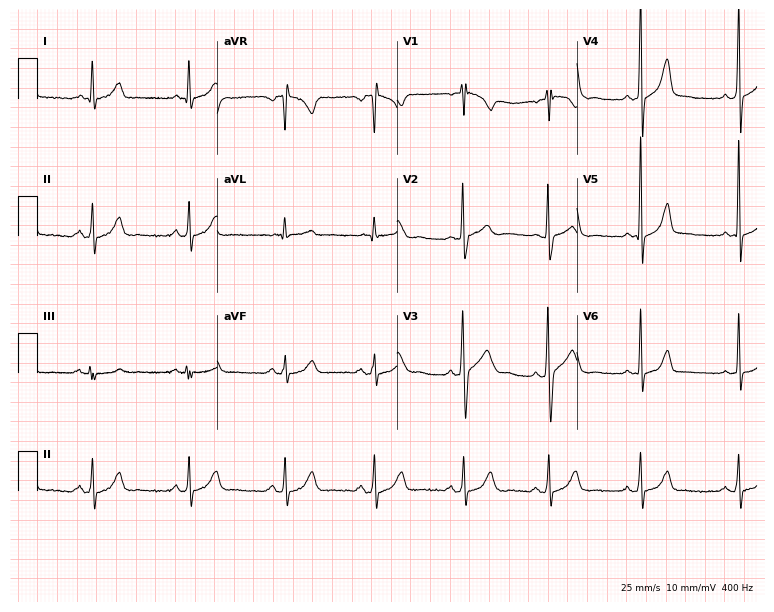
Electrocardiogram (7.3-second recording at 400 Hz), a 32-year-old female. Overall reading on record: normal ECG.